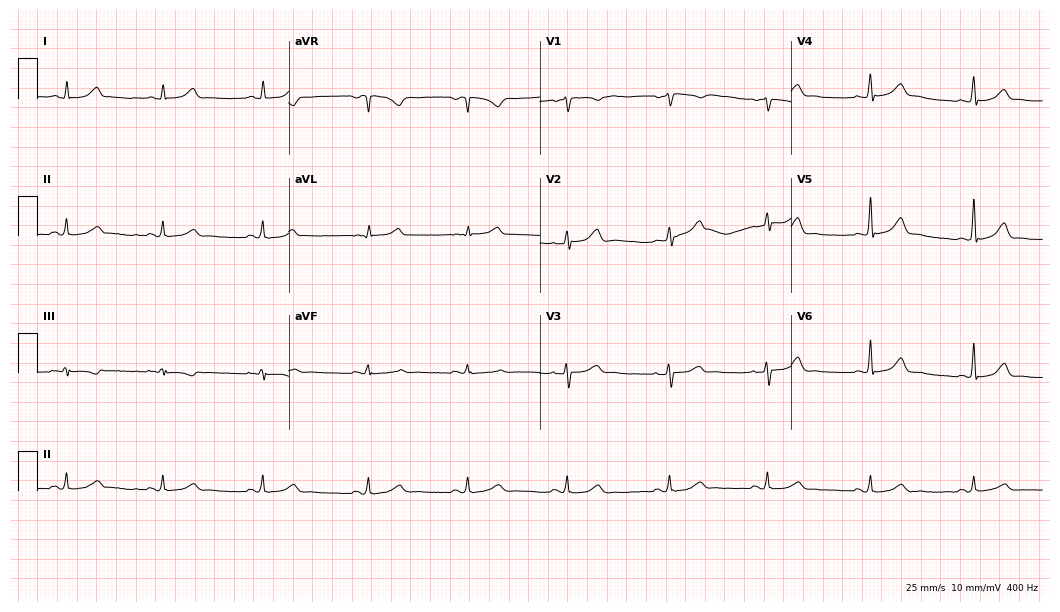
Electrocardiogram (10.2-second recording at 400 Hz), a 42-year-old female patient. Overall reading on record: normal ECG.